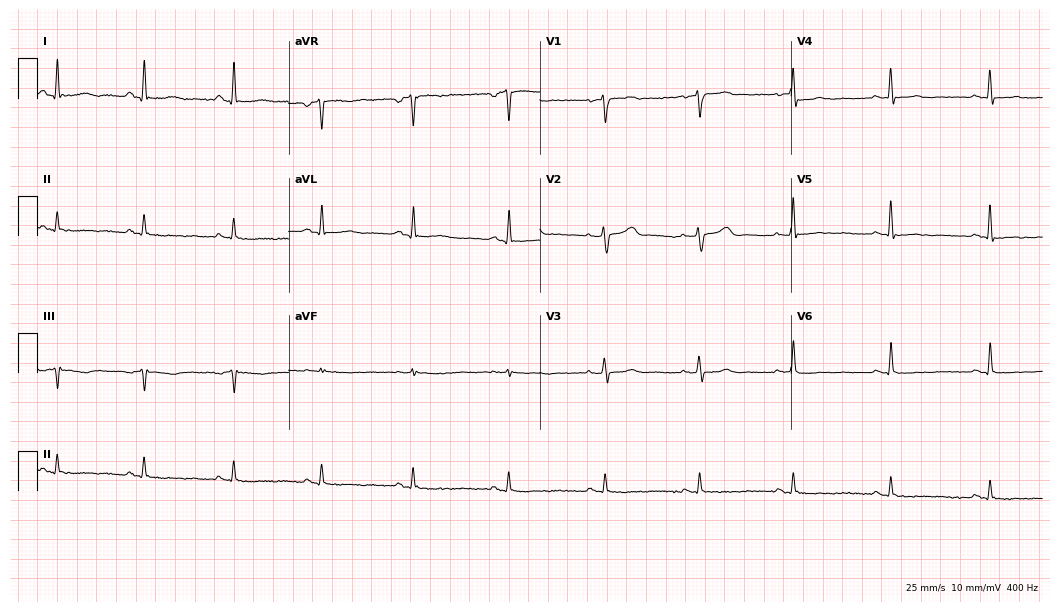
12-lead ECG from a 45-year-old female. Screened for six findings — first-degree AV block, right bundle branch block, left bundle branch block, sinus bradycardia, atrial fibrillation, sinus tachycardia — none is recorded.